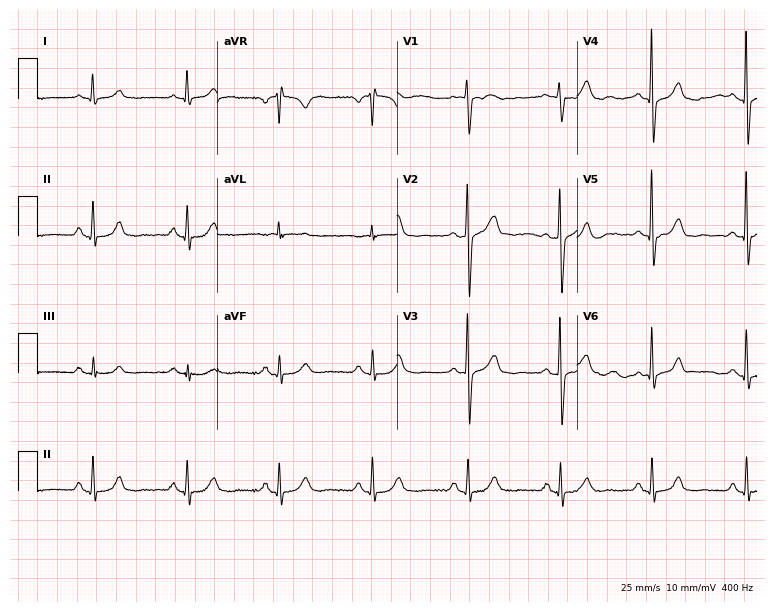
Electrocardiogram, a female, 77 years old. Overall reading on record: normal ECG.